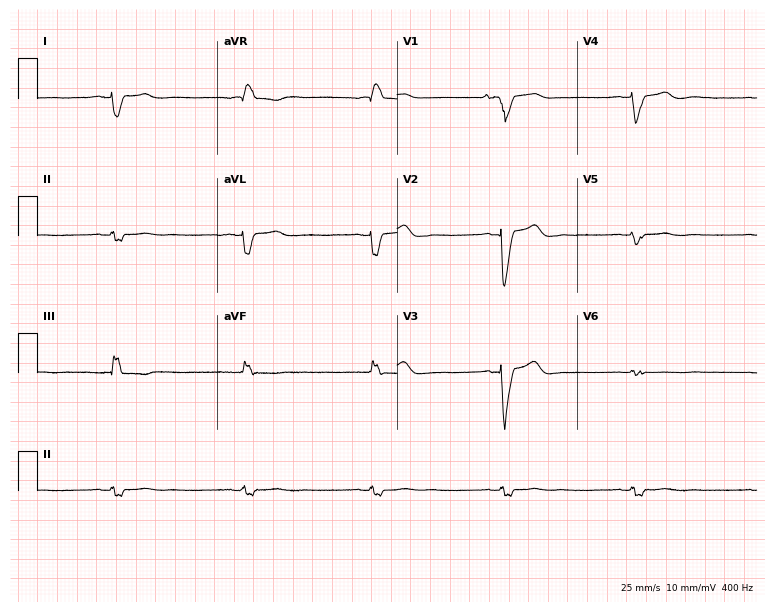
Standard 12-lead ECG recorded from a 53-year-old female patient. The tracing shows left bundle branch block (LBBB), sinus bradycardia (a sinus rate of 50 beats per minute or less).